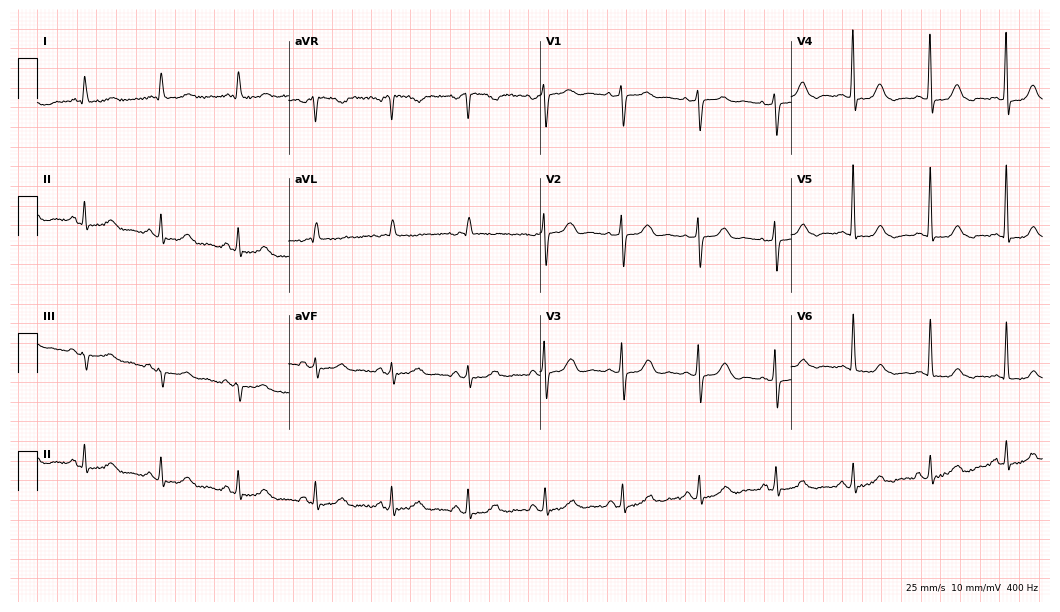
Standard 12-lead ECG recorded from a 73-year-old female patient (10.2-second recording at 400 Hz). None of these six findings is recorded: first-degree AV block, right bundle branch block, left bundle branch block, sinus bradycardia, atrial fibrillation, sinus tachycardia.